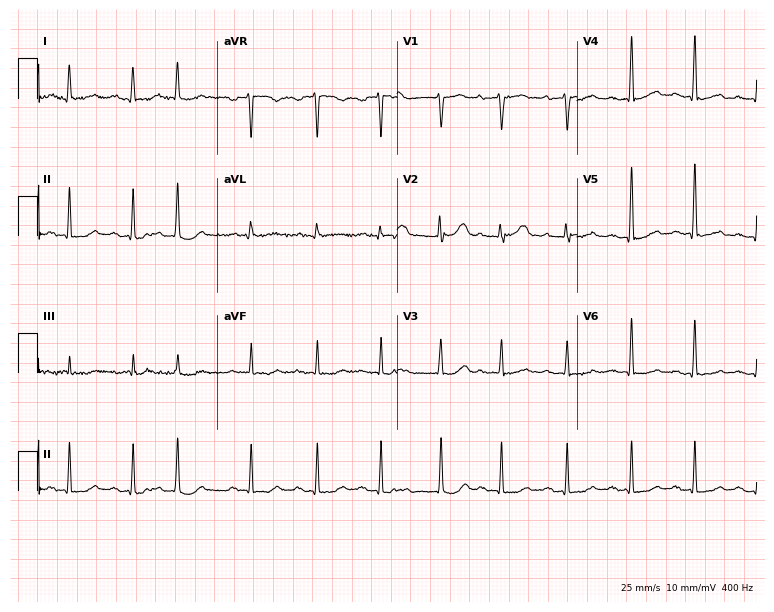
Electrocardiogram (7.3-second recording at 400 Hz), a woman, 79 years old. Overall reading on record: normal ECG.